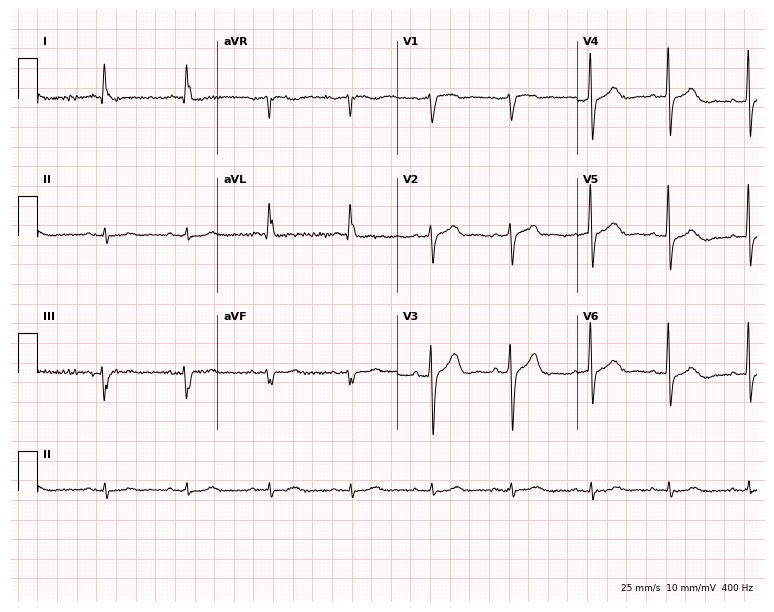
12-lead ECG from a 69-year-old male. Recorded interpretation: within normal limits.